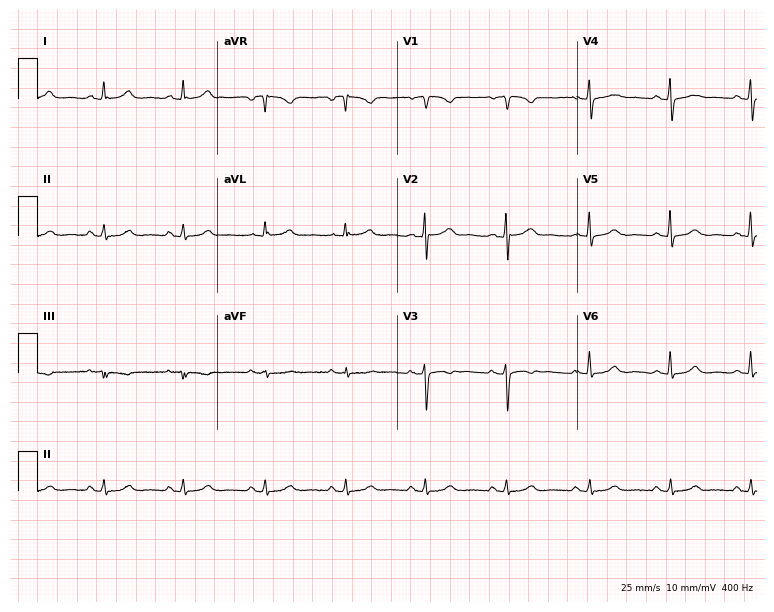
12-lead ECG from a female, 51 years old (7.3-second recording at 400 Hz). Recorded interpretation: within normal limits.